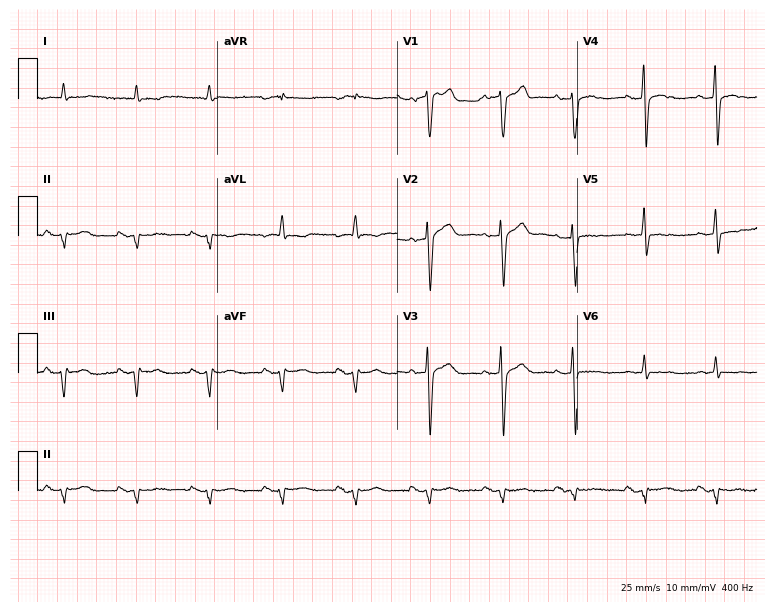
Resting 12-lead electrocardiogram. Patient: an 82-year-old male. None of these six findings is recorded: first-degree AV block, right bundle branch block, left bundle branch block, sinus bradycardia, atrial fibrillation, sinus tachycardia. Findings outside these six are not listed.